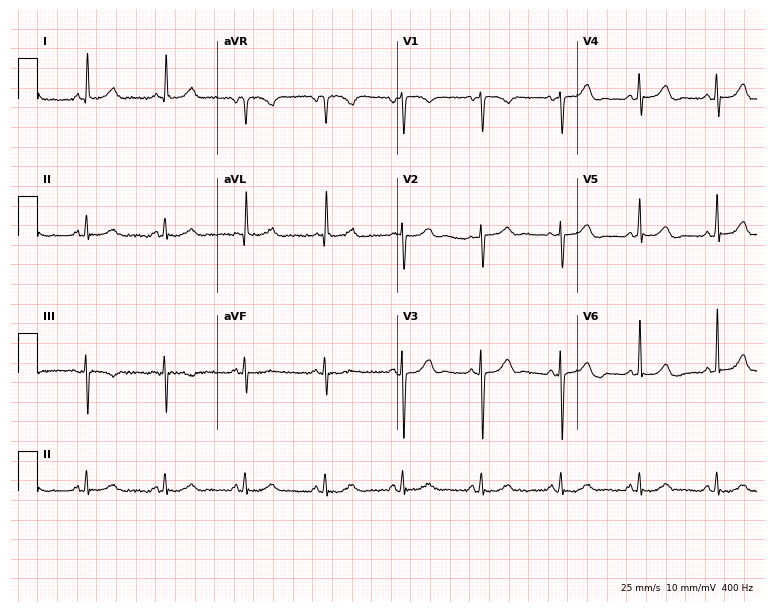
12-lead ECG from a female, 85 years old. Recorded interpretation: within normal limits.